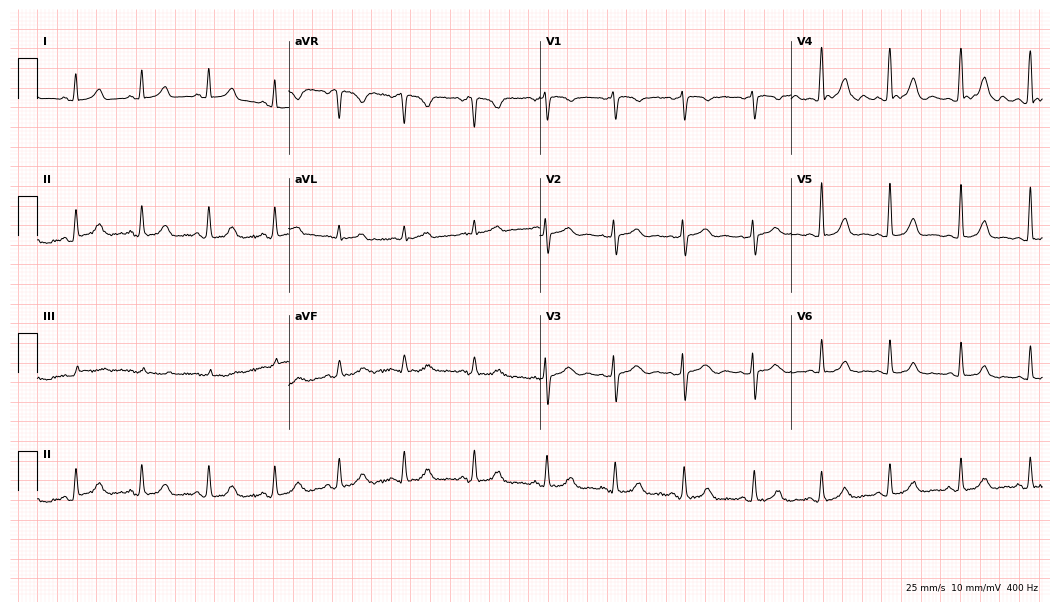
12-lead ECG from a 36-year-old woman. Labelled as a normal ECG.